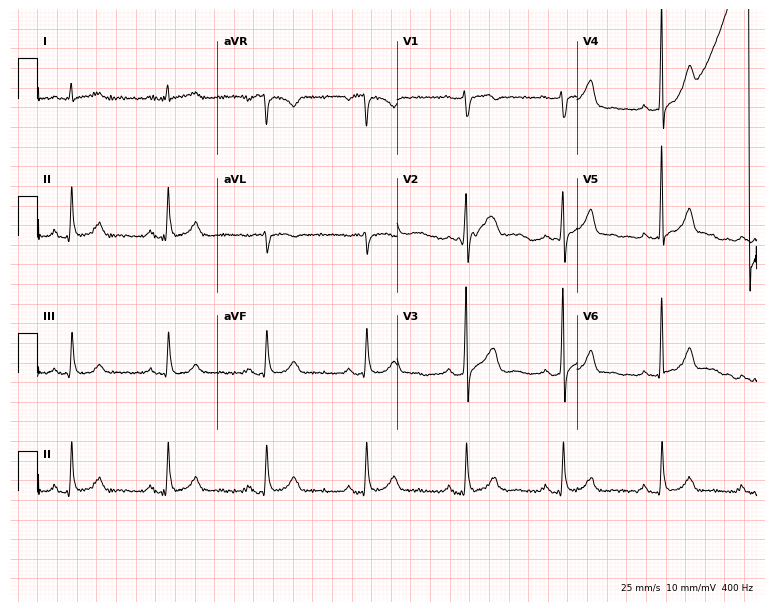
ECG (7.3-second recording at 400 Hz) — a man, 48 years old. Screened for six findings — first-degree AV block, right bundle branch block (RBBB), left bundle branch block (LBBB), sinus bradycardia, atrial fibrillation (AF), sinus tachycardia — none is recorded. Findings outside these six are not listed.